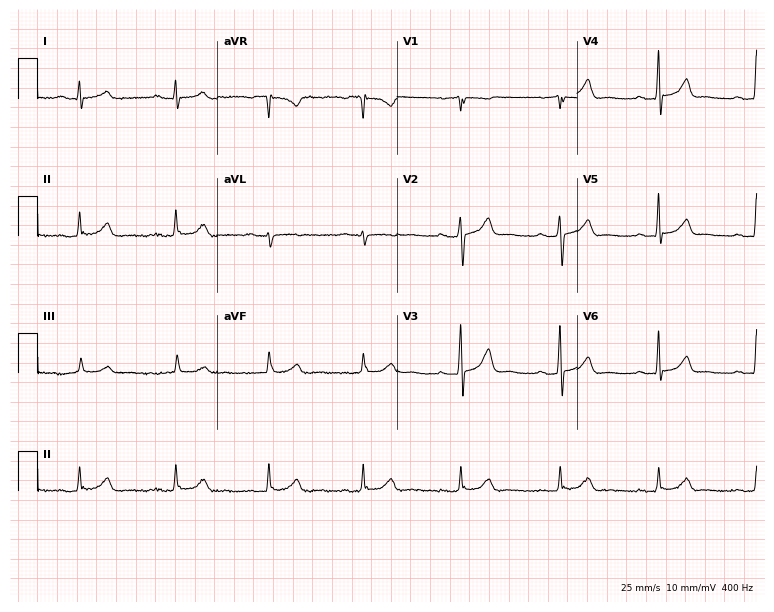
12-lead ECG from a 59-year-old female patient. No first-degree AV block, right bundle branch block (RBBB), left bundle branch block (LBBB), sinus bradycardia, atrial fibrillation (AF) or sinus tachycardia recorded for this tracing.